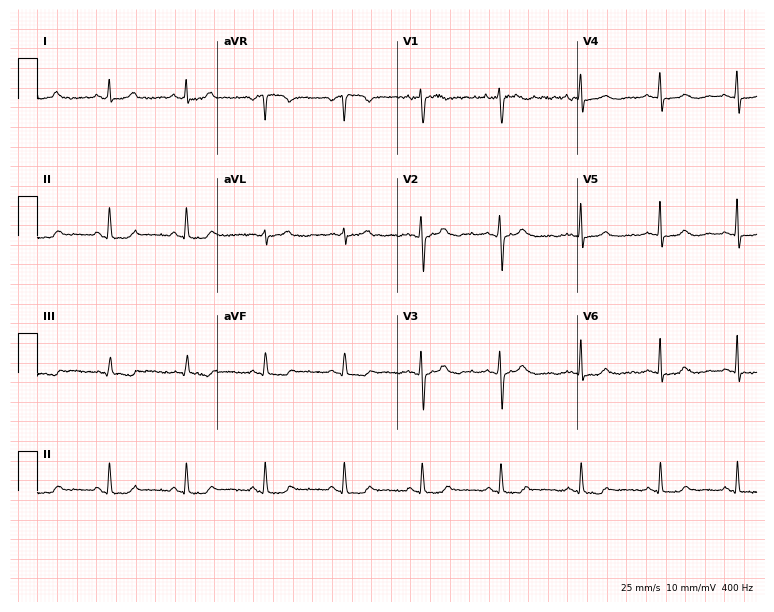
Resting 12-lead electrocardiogram. Patient: a 39-year-old female. None of these six findings is recorded: first-degree AV block, right bundle branch block, left bundle branch block, sinus bradycardia, atrial fibrillation, sinus tachycardia. Other findings, if any, are not listed.